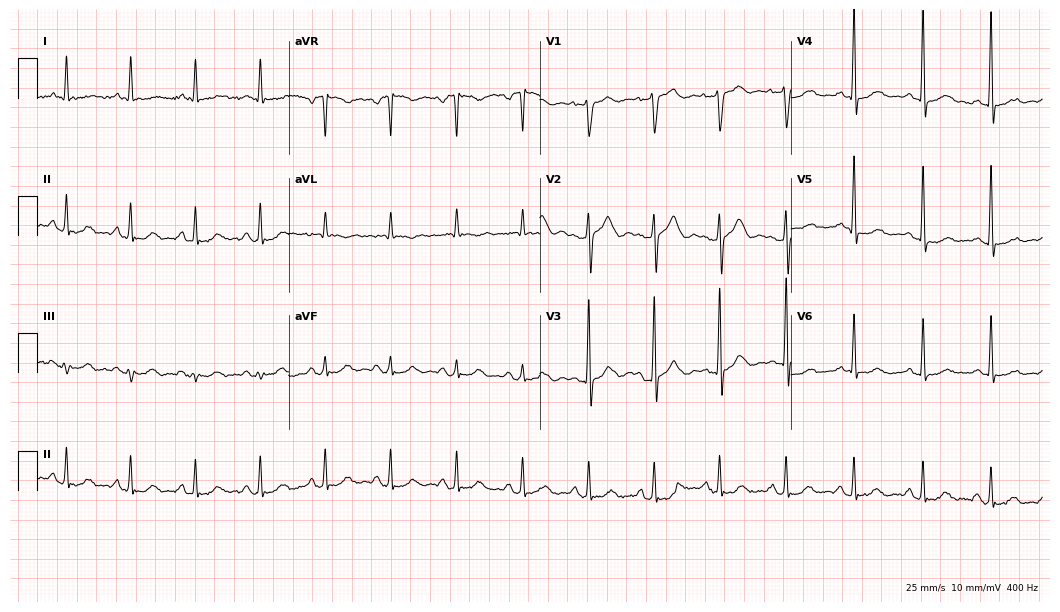
ECG — a man, 60 years old. Screened for six findings — first-degree AV block, right bundle branch block (RBBB), left bundle branch block (LBBB), sinus bradycardia, atrial fibrillation (AF), sinus tachycardia — none is recorded.